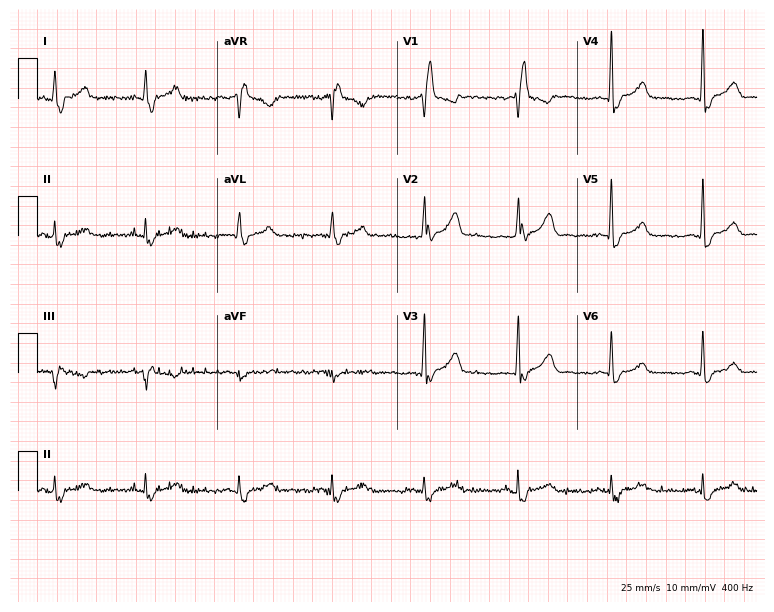
ECG — a male patient, 40 years old. Findings include right bundle branch block (RBBB).